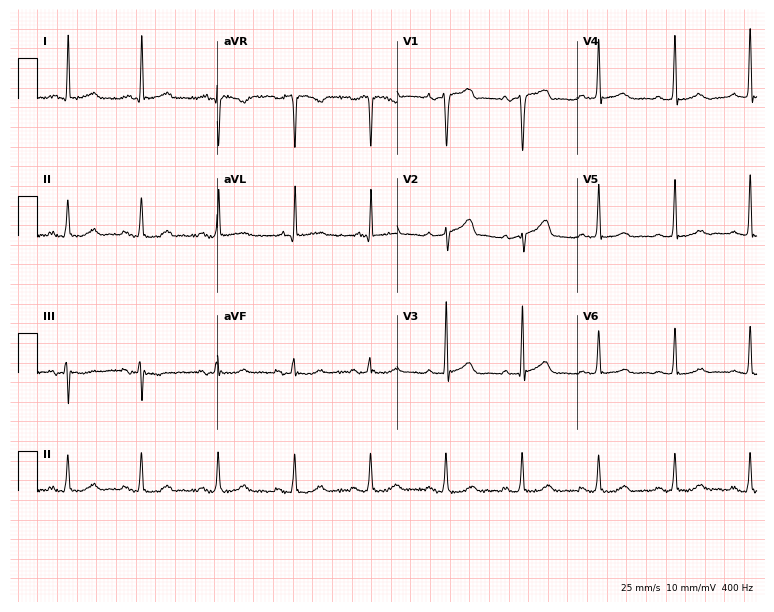
12-lead ECG from a female, 73 years old. Recorded interpretation: within normal limits.